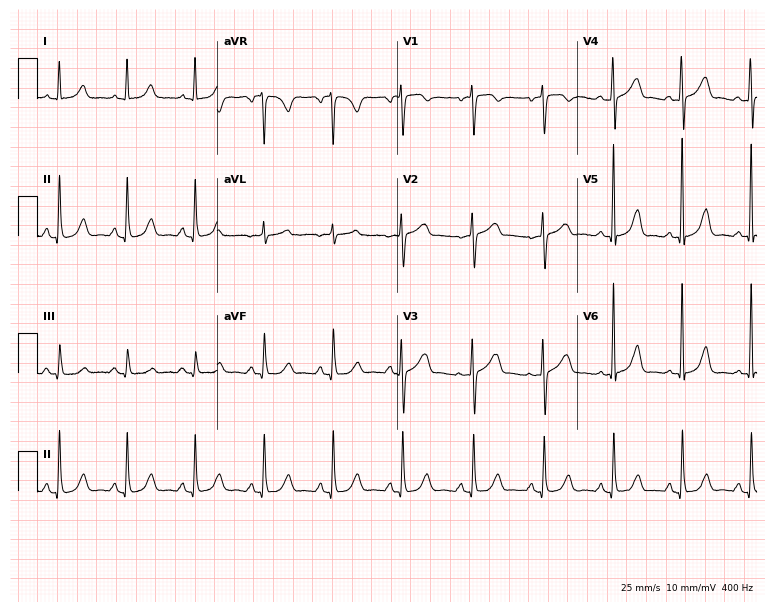
Standard 12-lead ECG recorded from a 65-year-old woman. Read as a normal ECG.